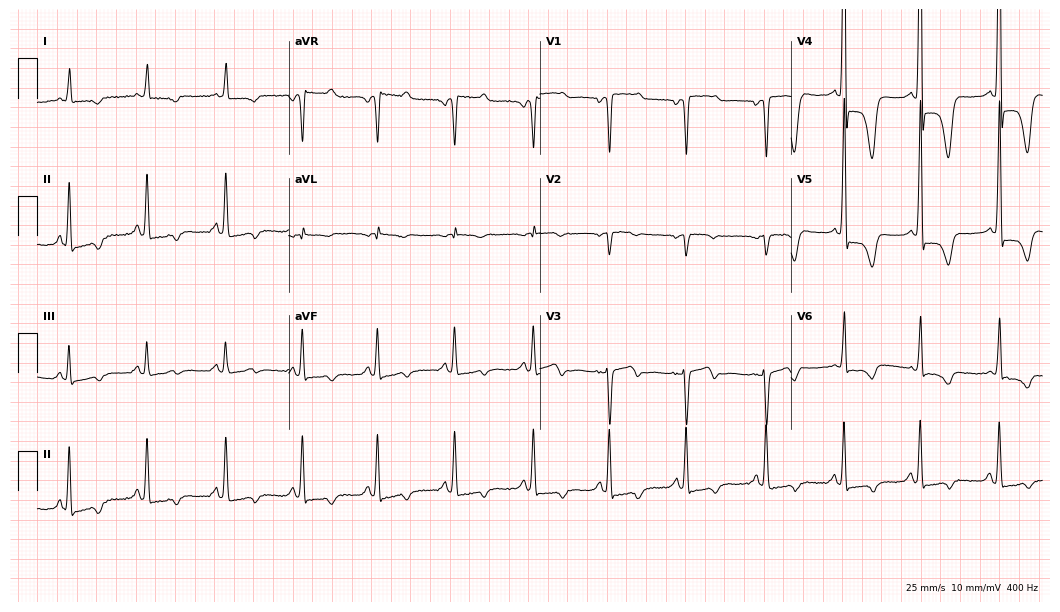
12-lead ECG from a 62-year-old female patient (10.2-second recording at 400 Hz). No first-degree AV block, right bundle branch block (RBBB), left bundle branch block (LBBB), sinus bradycardia, atrial fibrillation (AF) or sinus tachycardia recorded for this tracing. Findings outside these six are not listed.